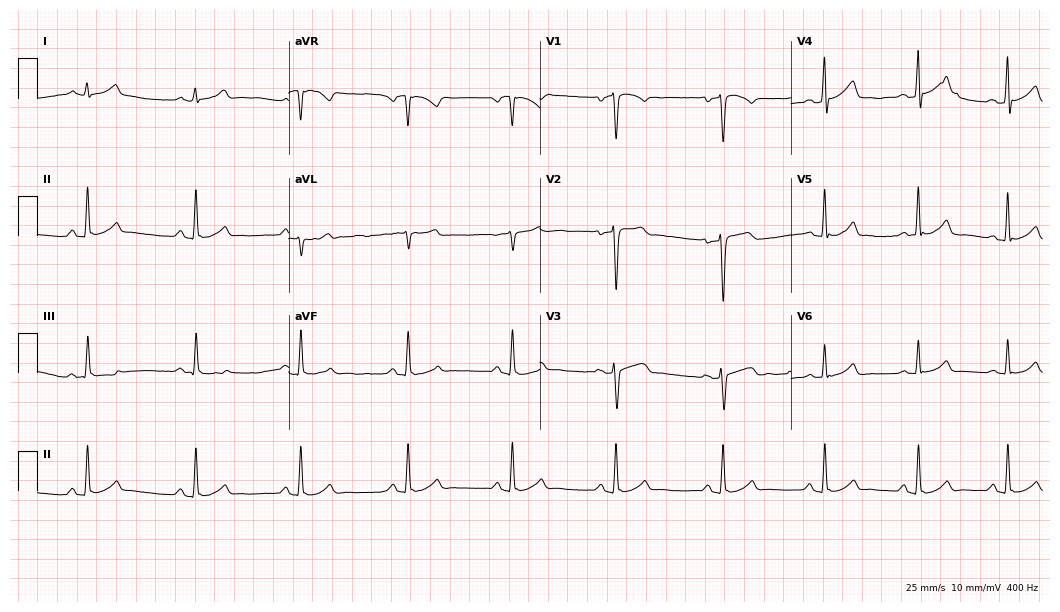
Resting 12-lead electrocardiogram. Patient: a 37-year-old man. Read as a normal ECG.